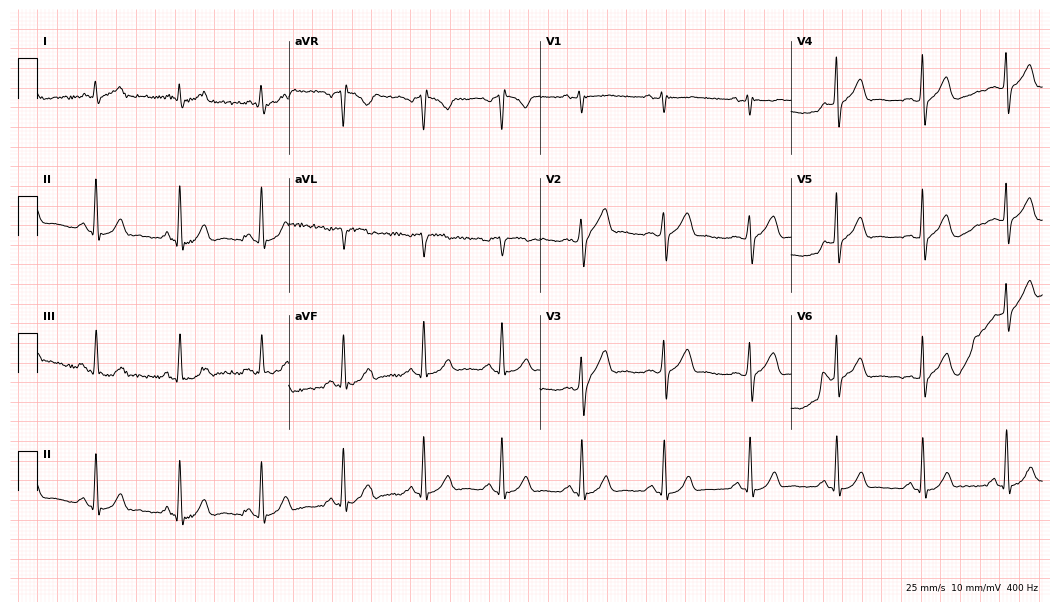
12-lead ECG from a 47-year-old man. No first-degree AV block, right bundle branch block (RBBB), left bundle branch block (LBBB), sinus bradycardia, atrial fibrillation (AF) or sinus tachycardia recorded for this tracing. Only these six findings were labelled.